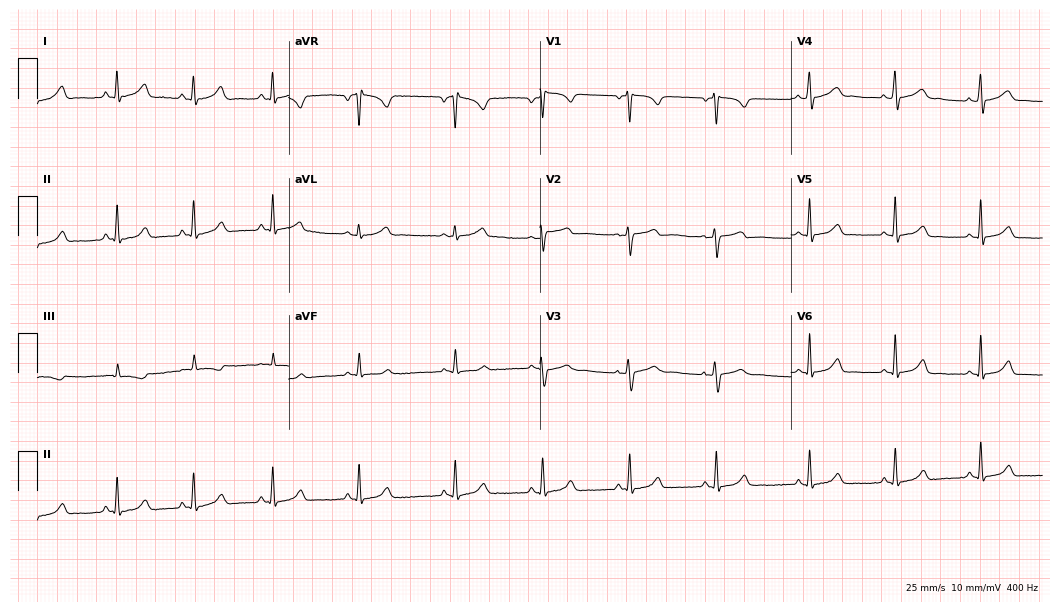
Resting 12-lead electrocardiogram (10.2-second recording at 400 Hz). Patient: a 36-year-old female. None of these six findings is recorded: first-degree AV block, right bundle branch block, left bundle branch block, sinus bradycardia, atrial fibrillation, sinus tachycardia. Other findings, if any, are not listed.